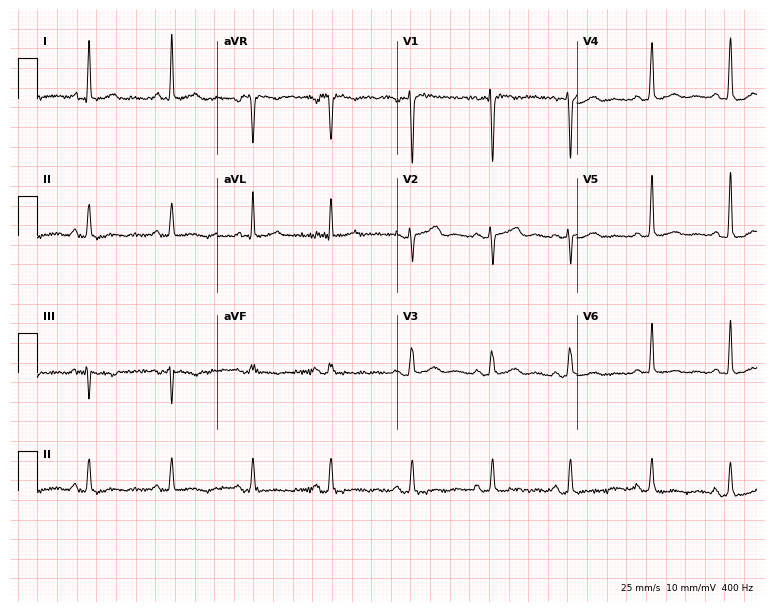
Electrocardiogram, a female, 47 years old. Of the six screened findings (first-degree AV block, right bundle branch block, left bundle branch block, sinus bradycardia, atrial fibrillation, sinus tachycardia), none is recorded.